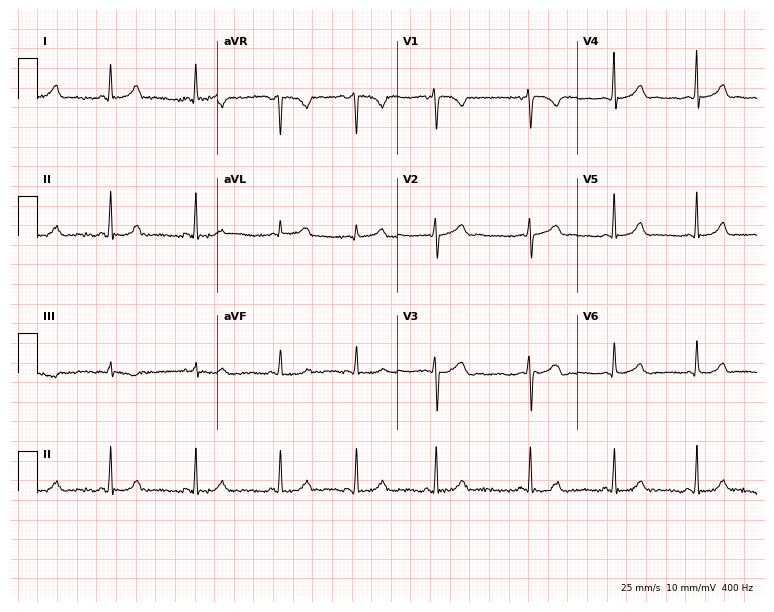
Electrocardiogram (7.3-second recording at 400 Hz), a female, 17 years old. Overall reading on record: normal ECG.